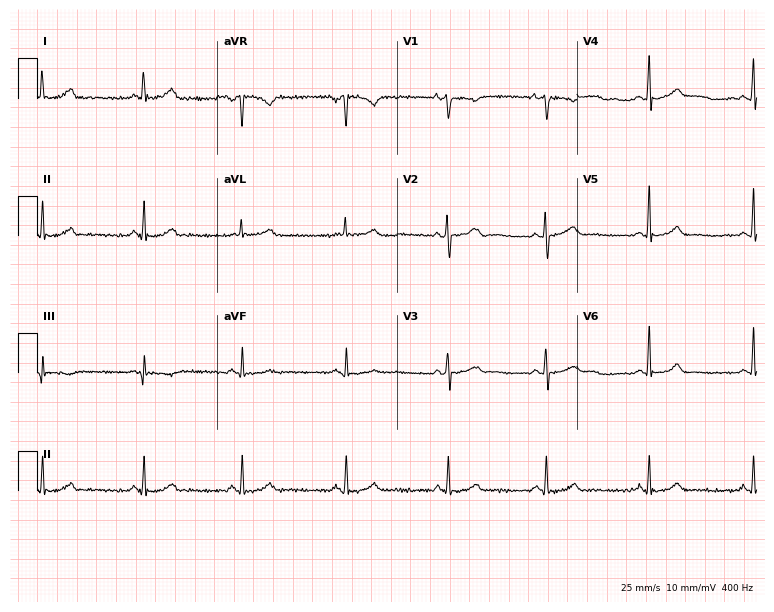
ECG (7.3-second recording at 400 Hz) — a woman, 30 years old. Labelled as a normal ECG.